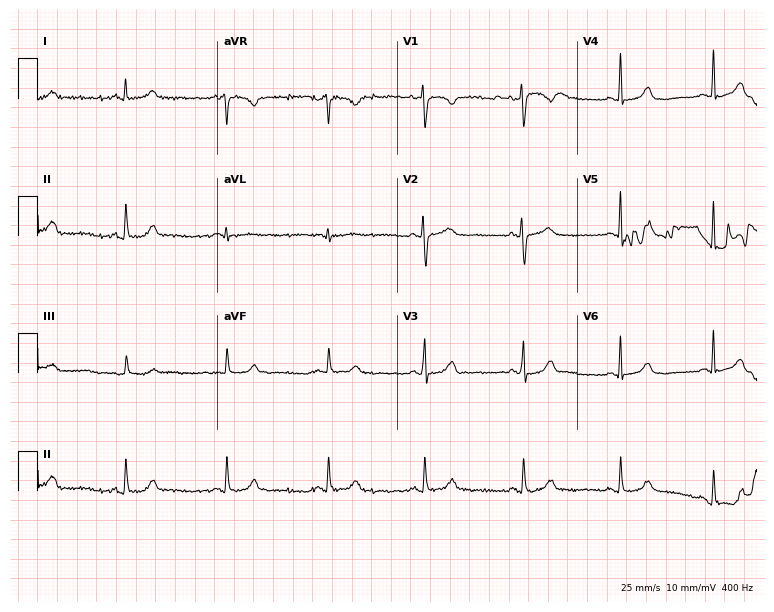
Electrocardiogram (7.3-second recording at 400 Hz), a woman, 41 years old. Overall reading on record: normal ECG.